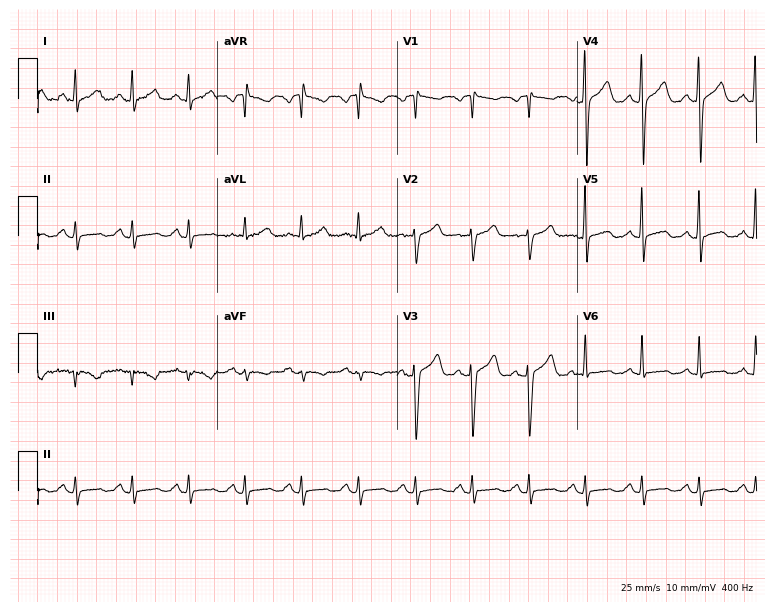
Electrocardiogram, a 47-year-old man. Interpretation includes sinus tachycardia (a sinus rate of 100 beats per minute or more).